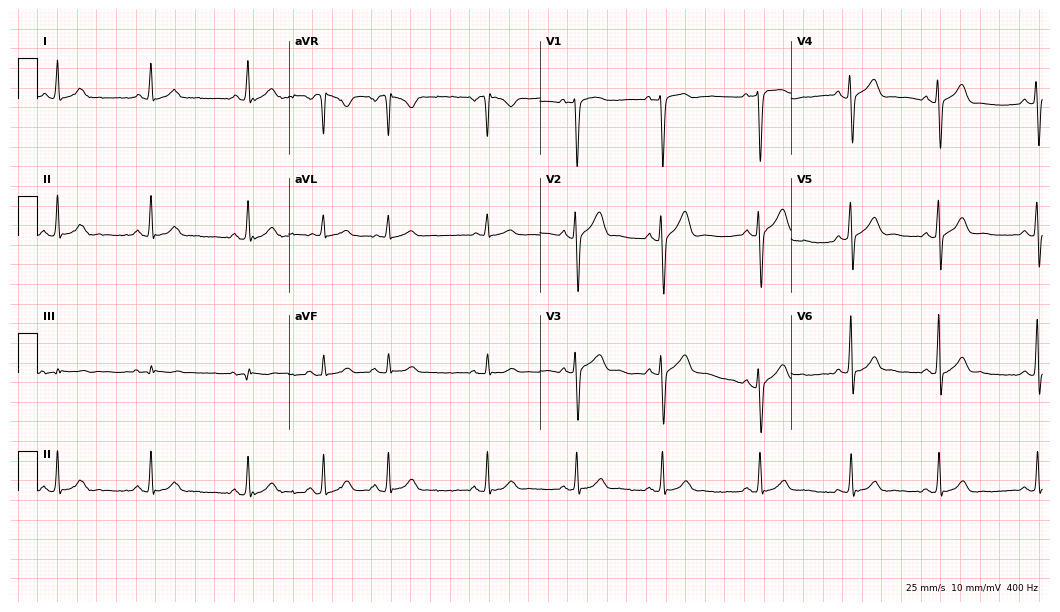
12-lead ECG from a man, 23 years old. Recorded interpretation: within normal limits.